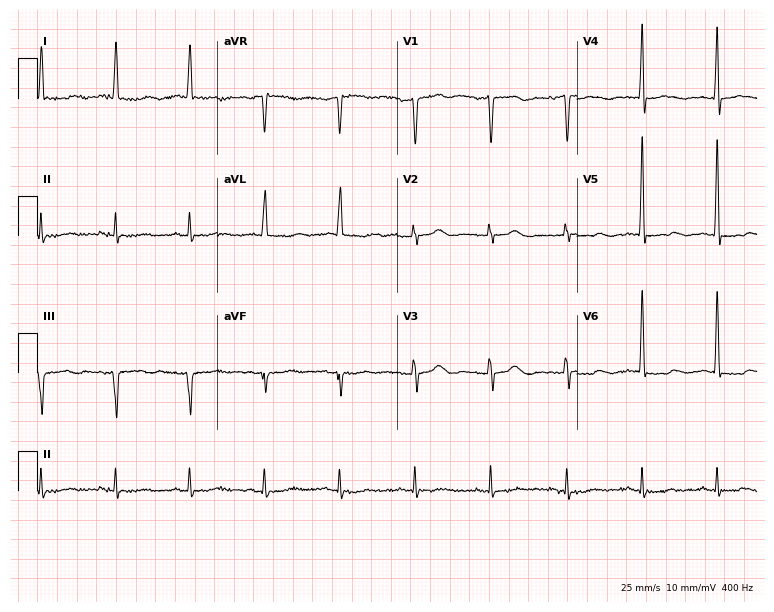
ECG — an 82-year-old female patient. Screened for six findings — first-degree AV block, right bundle branch block, left bundle branch block, sinus bradycardia, atrial fibrillation, sinus tachycardia — none is recorded.